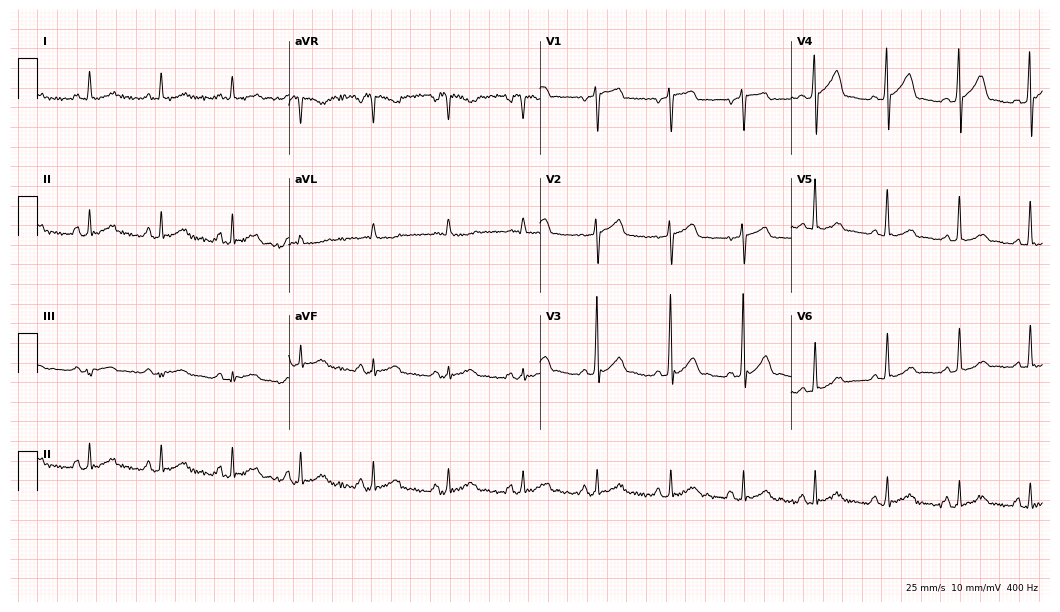
Resting 12-lead electrocardiogram (10.2-second recording at 400 Hz). Patient: a male, 47 years old. None of these six findings is recorded: first-degree AV block, right bundle branch block, left bundle branch block, sinus bradycardia, atrial fibrillation, sinus tachycardia.